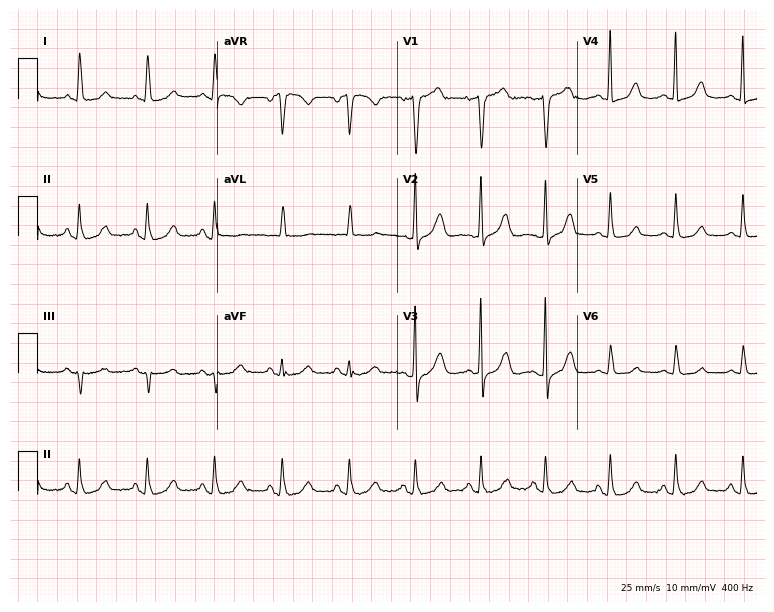
Standard 12-lead ECG recorded from a female, 53 years old. None of these six findings is recorded: first-degree AV block, right bundle branch block (RBBB), left bundle branch block (LBBB), sinus bradycardia, atrial fibrillation (AF), sinus tachycardia. Findings outside these six are not listed.